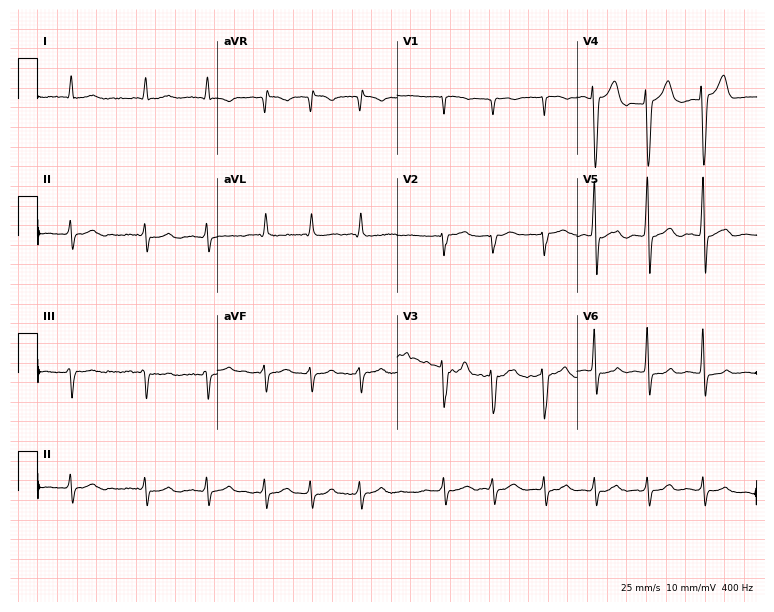
Standard 12-lead ECG recorded from a male, 84 years old (7.3-second recording at 400 Hz). The tracing shows atrial fibrillation (AF).